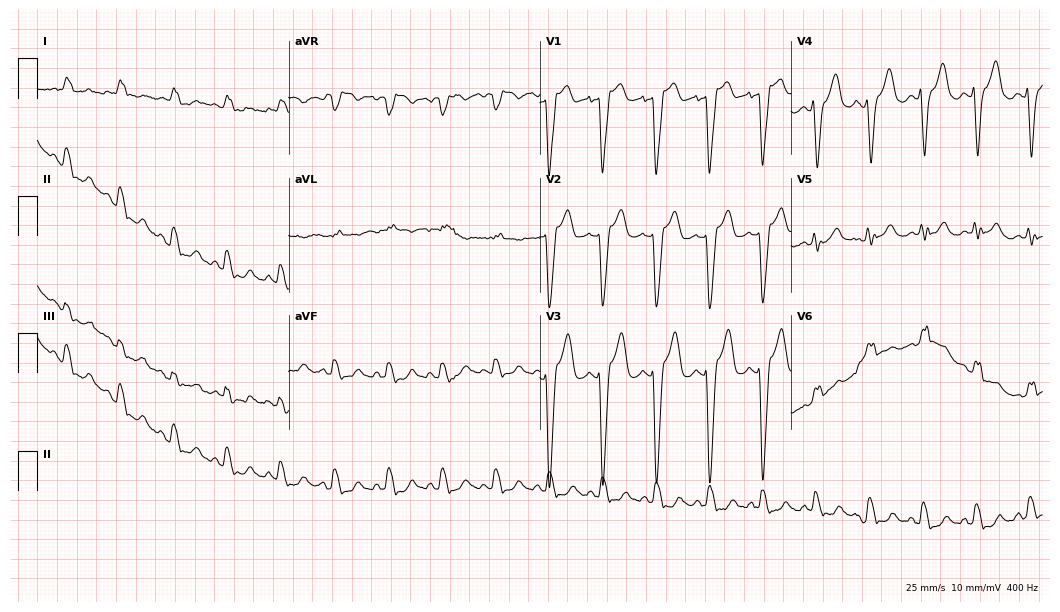
ECG — a woman, 67 years old. Screened for six findings — first-degree AV block, right bundle branch block, left bundle branch block, sinus bradycardia, atrial fibrillation, sinus tachycardia — none is recorded.